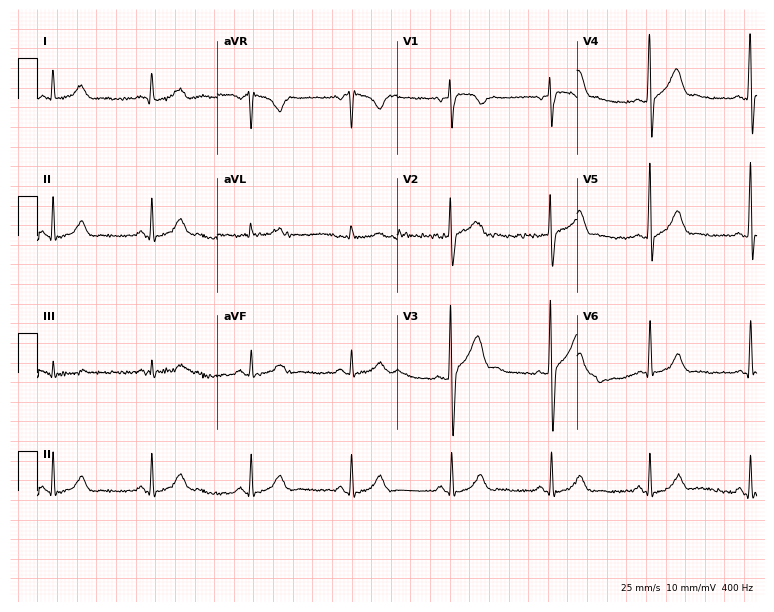
Standard 12-lead ECG recorded from a male patient, 41 years old (7.3-second recording at 400 Hz). Read as a normal ECG.